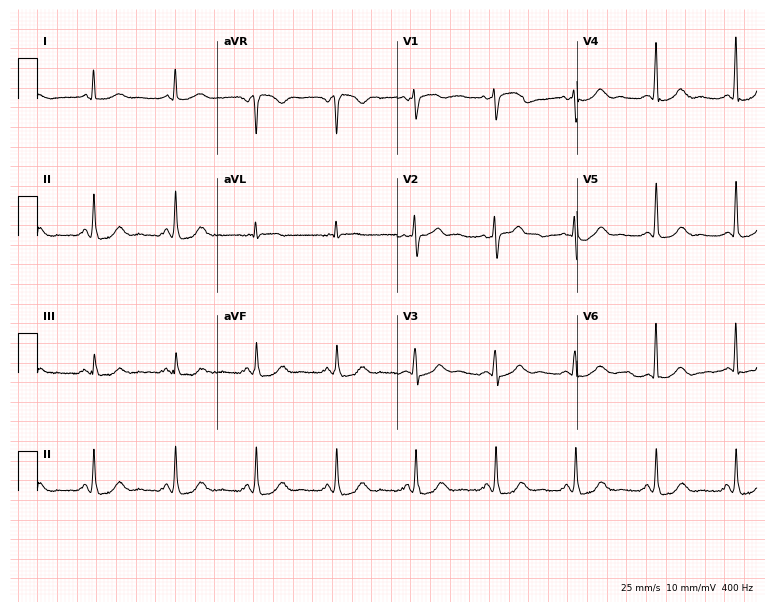
Resting 12-lead electrocardiogram (7.3-second recording at 400 Hz). Patient: a female, 64 years old. Read as a normal ECG.